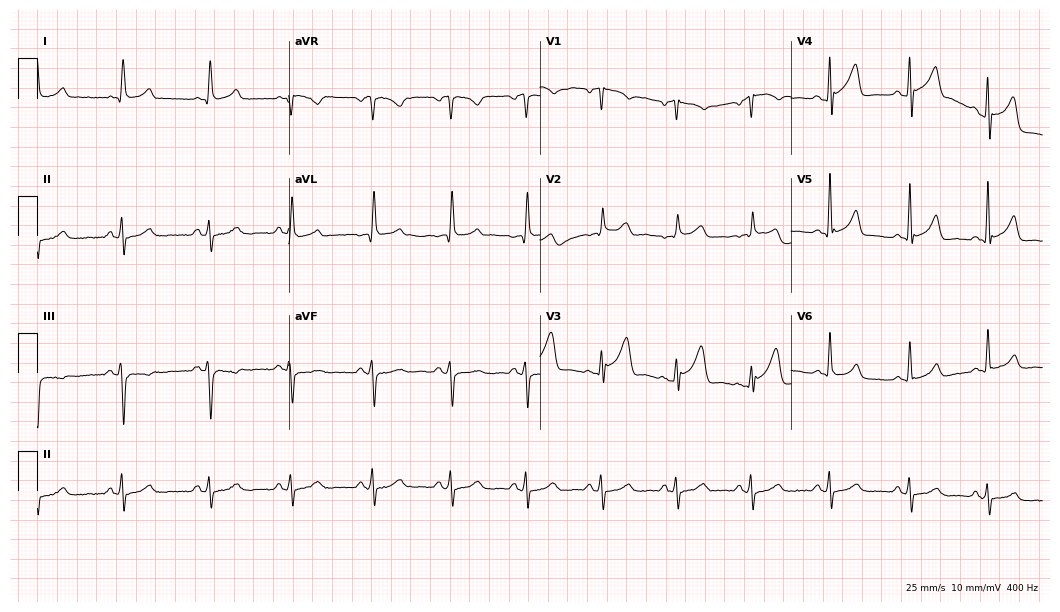
Resting 12-lead electrocardiogram. Patient: a man, 62 years old. None of these six findings is recorded: first-degree AV block, right bundle branch block, left bundle branch block, sinus bradycardia, atrial fibrillation, sinus tachycardia. Only these six findings were labelled.